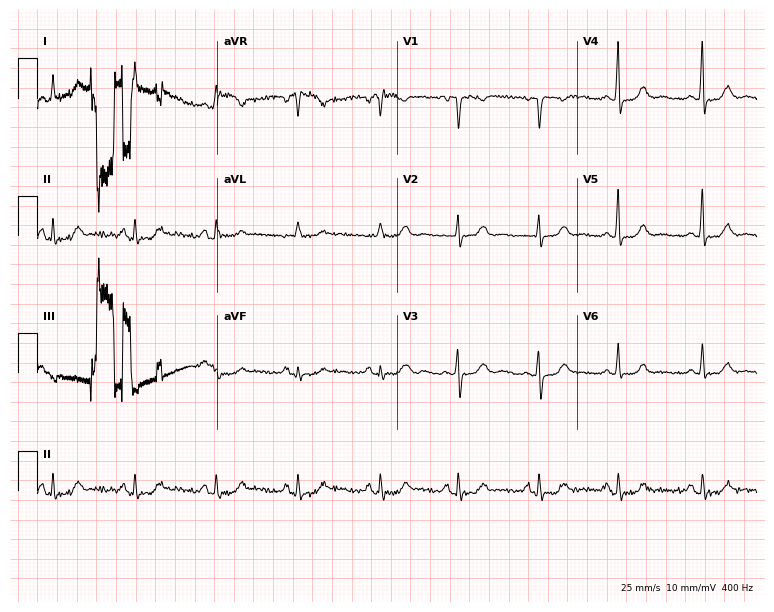
12-lead ECG from a 55-year-old woman (7.3-second recording at 400 Hz). Recorded interpretation: within normal limits.